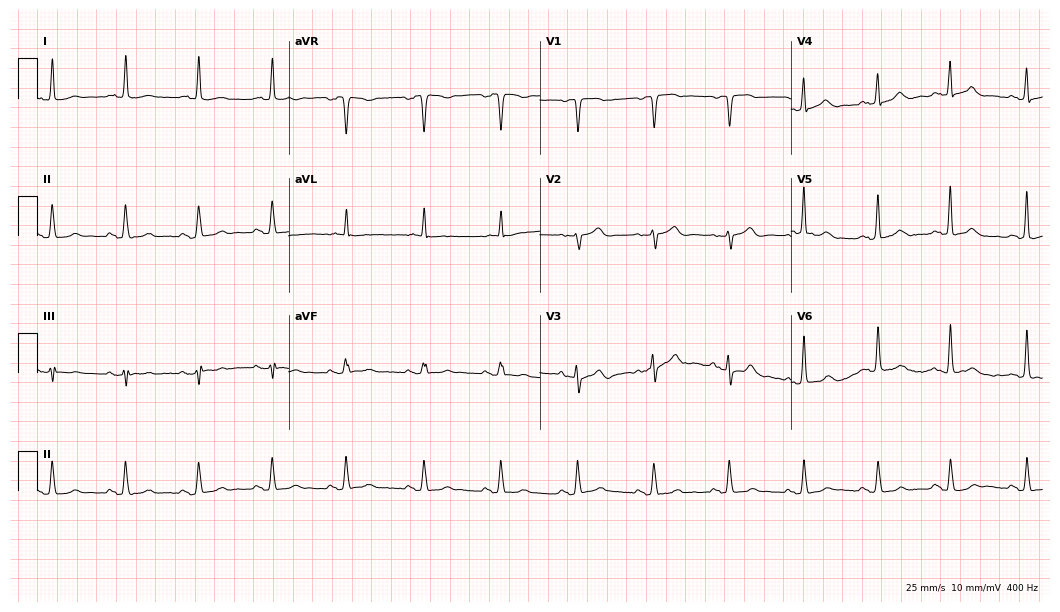
12-lead ECG (10.2-second recording at 400 Hz) from a woman, 80 years old. Labelled as a normal ECG.